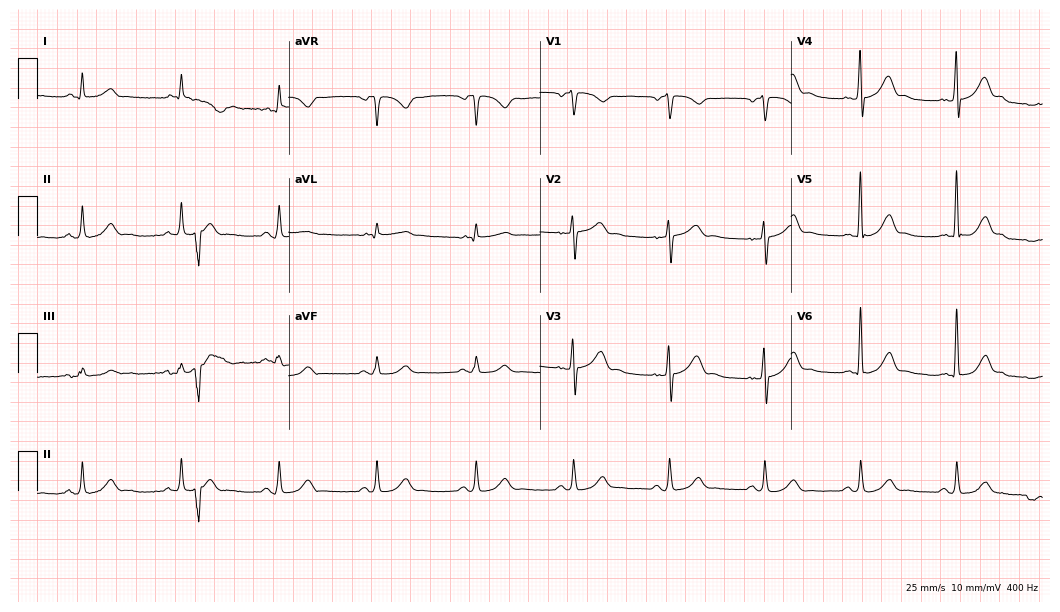
12-lead ECG from a male, 72 years old. Labelled as a normal ECG.